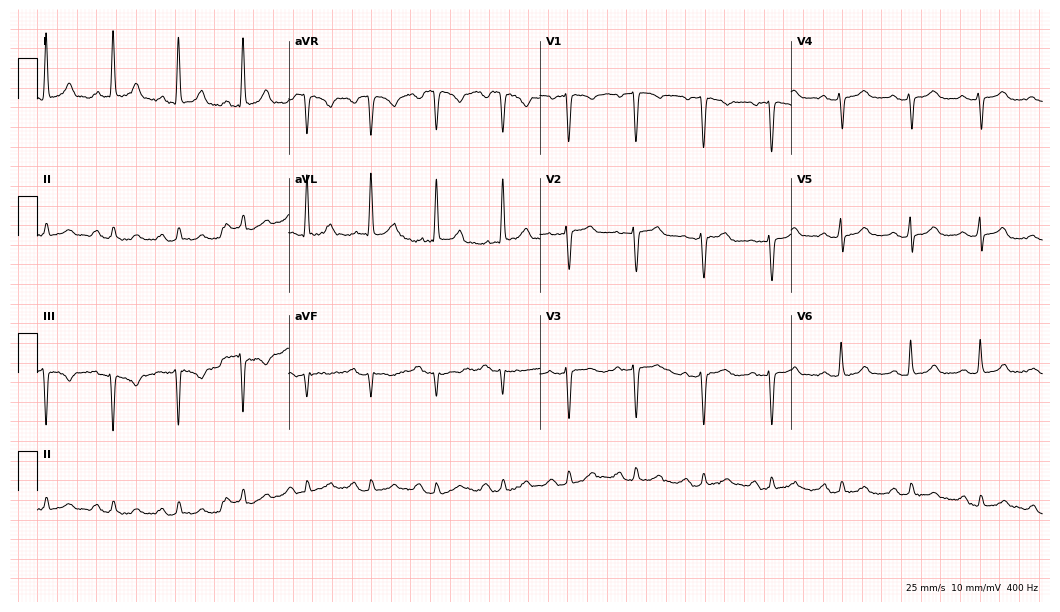
ECG (10.2-second recording at 400 Hz) — a 74-year-old female patient. Screened for six findings — first-degree AV block, right bundle branch block (RBBB), left bundle branch block (LBBB), sinus bradycardia, atrial fibrillation (AF), sinus tachycardia — none is recorded. Findings outside these six are not listed.